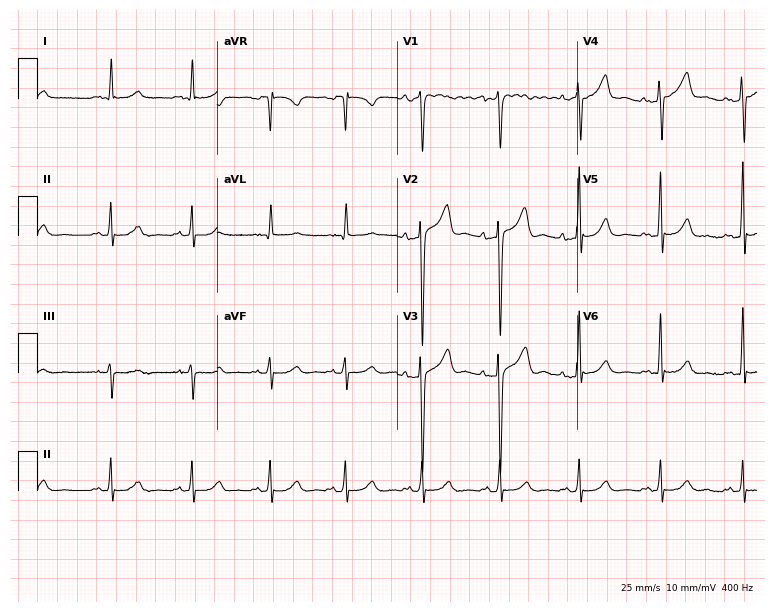
Standard 12-lead ECG recorded from a 67-year-old male (7.3-second recording at 400 Hz). Read as a normal ECG.